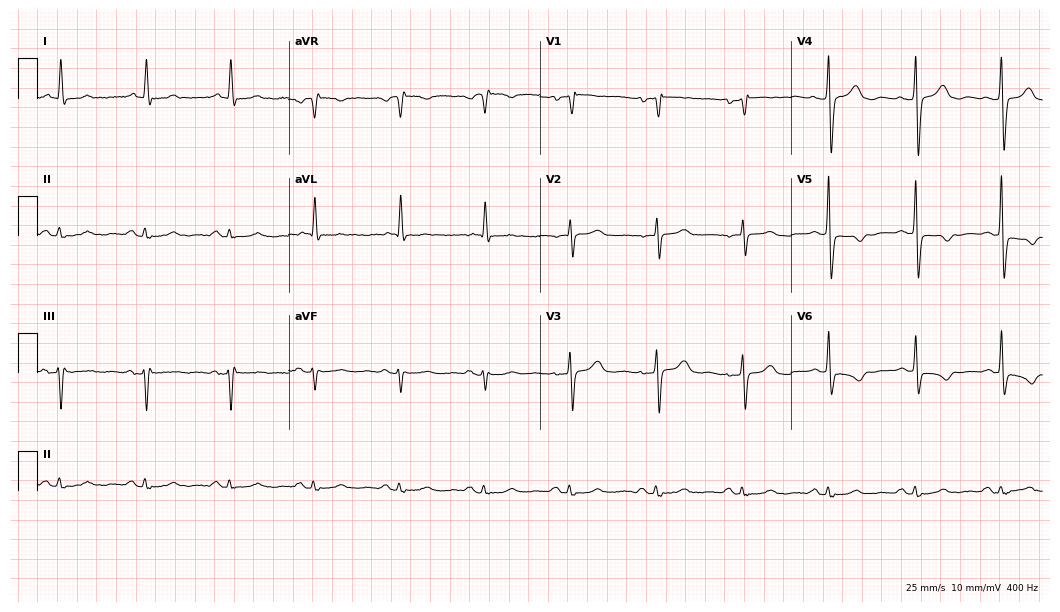
Electrocardiogram, a 71-year-old female patient. Of the six screened findings (first-degree AV block, right bundle branch block (RBBB), left bundle branch block (LBBB), sinus bradycardia, atrial fibrillation (AF), sinus tachycardia), none is recorded.